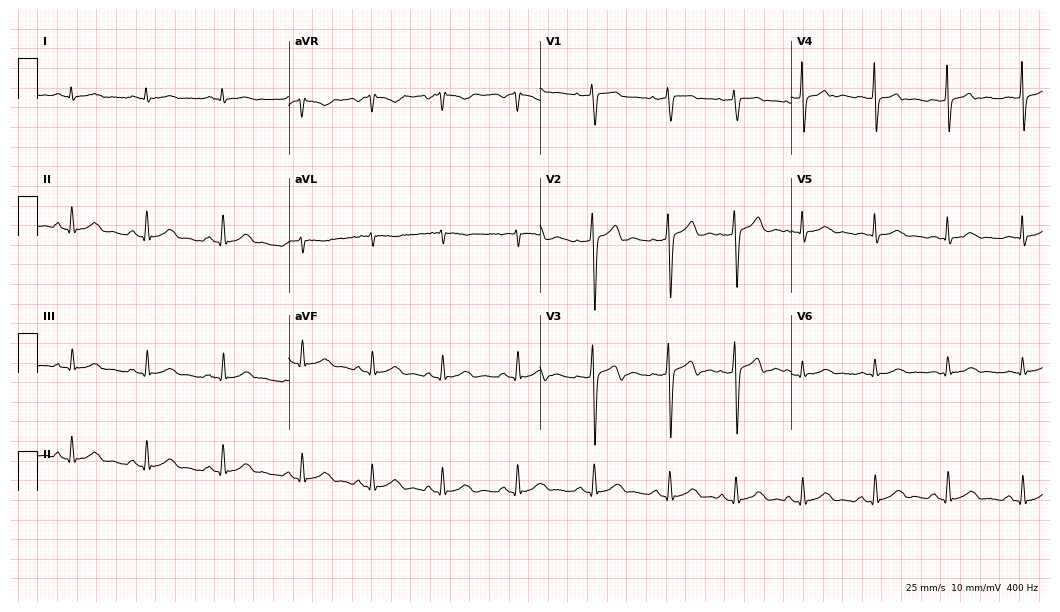
12-lead ECG (10.2-second recording at 400 Hz) from a 34-year-old female. Labelled as a normal ECG.